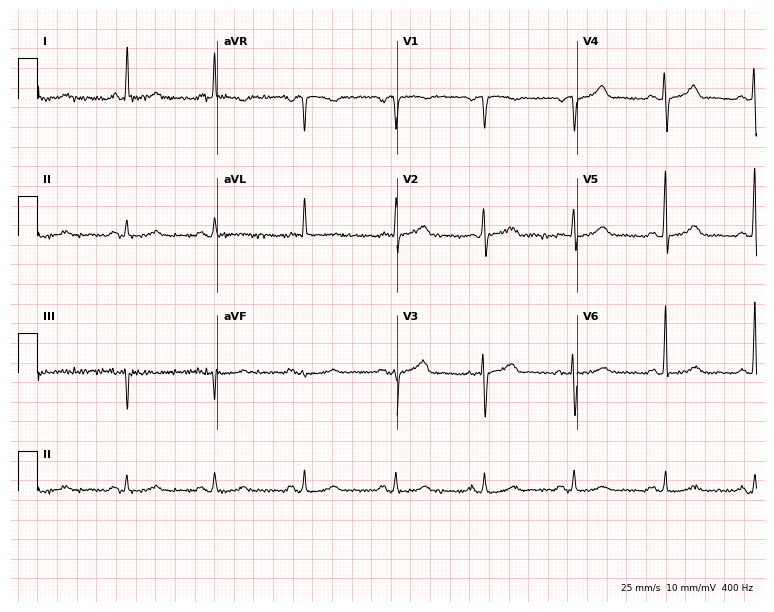
ECG (7.3-second recording at 400 Hz) — a 73-year-old man. Screened for six findings — first-degree AV block, right bundle branch block, left bundle branch block, sinus bradycardia, atrial fibrillation, sinus tachycardia — none is recorded.